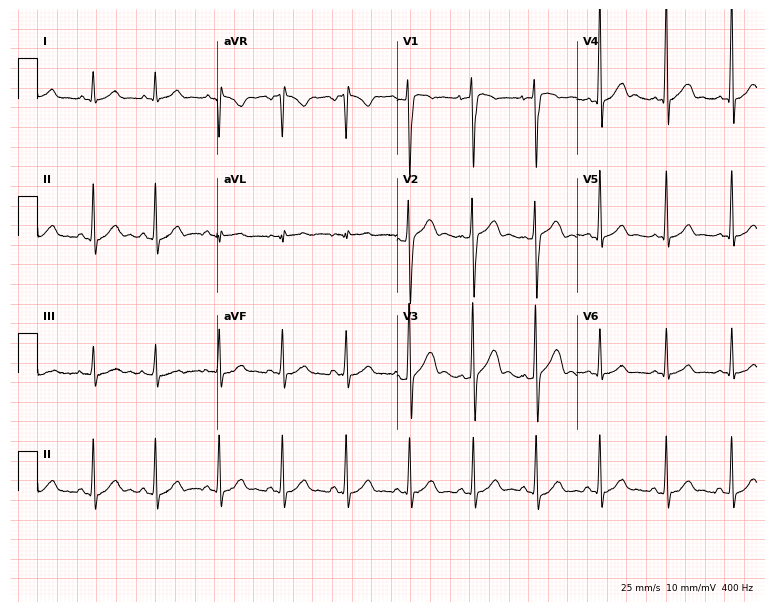
ECG — a male patient, 19 years old. Labelled as a normal ECG.